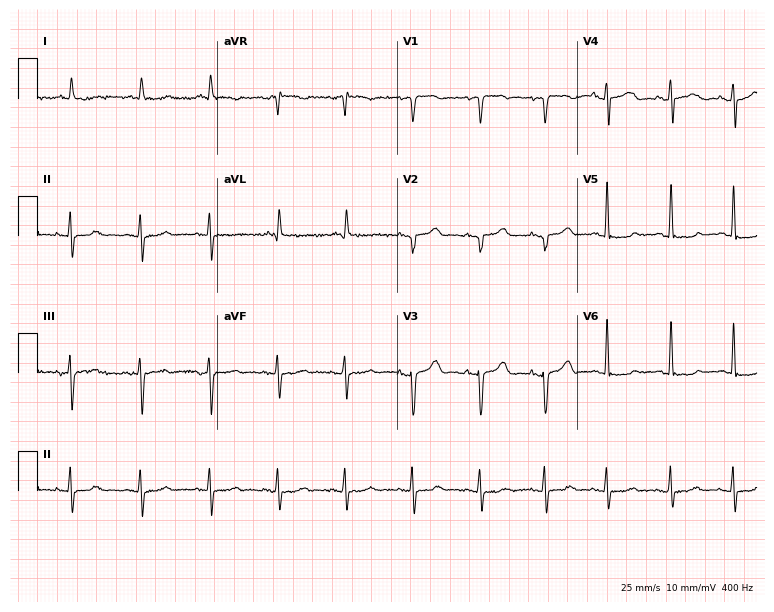
12-lead ECG (7.3-second recording at 400 Hz) from a woman, 86 years old. Screened for six findings — first-degree AV block, right bundle branch block, left bundle branch block, sinus bradycardia, atrial fibrillation, sinus tachycardia — none is recorded.